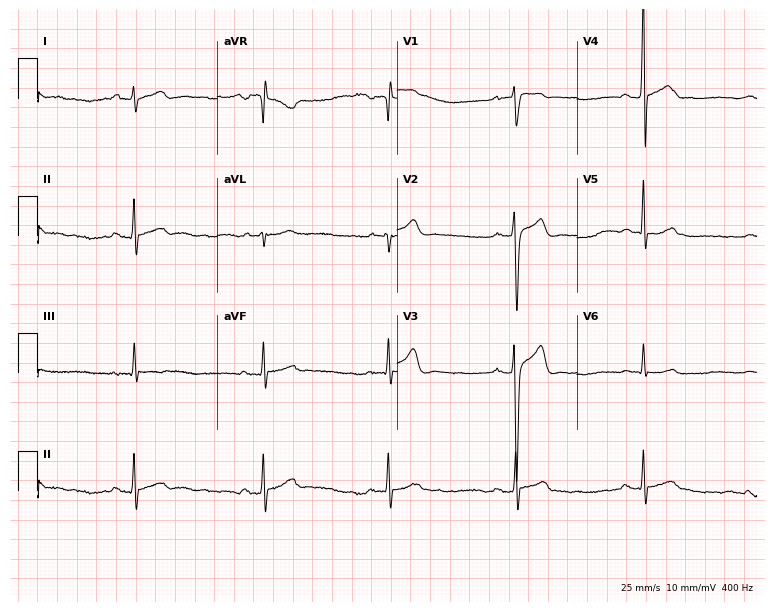
Electrocardiogram, a male patient, 19 years old. Interpretation includes sinus bradycardia (a sinus rate of 50 beats per minute or less).